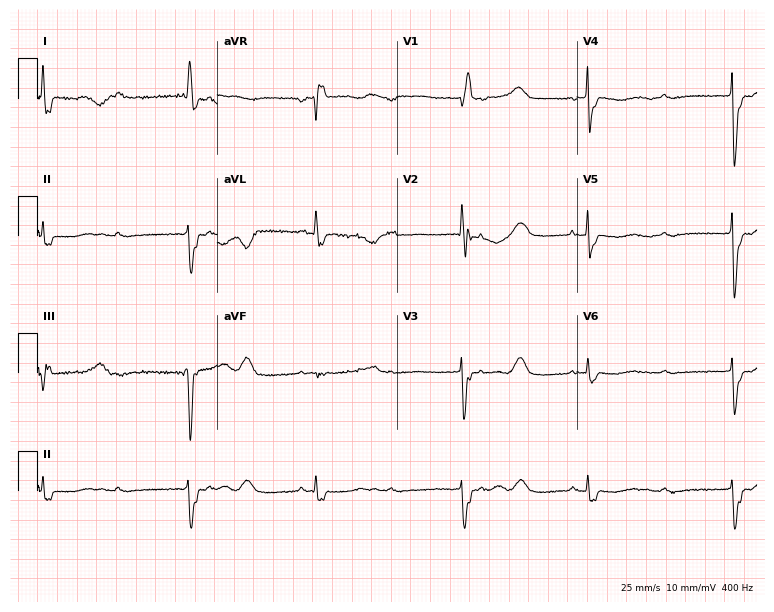
Resting 12-lead electrocardiogram (7.3-second recording at 400 Hz). Patient: a female, 76 years old. None of these six findings is recorded: first-degree AV block, right bundle branch block, left bundle branch block, sinus bradycardia, atrial fibrillation, sinus tachycardia. Only these six findings were labelled.